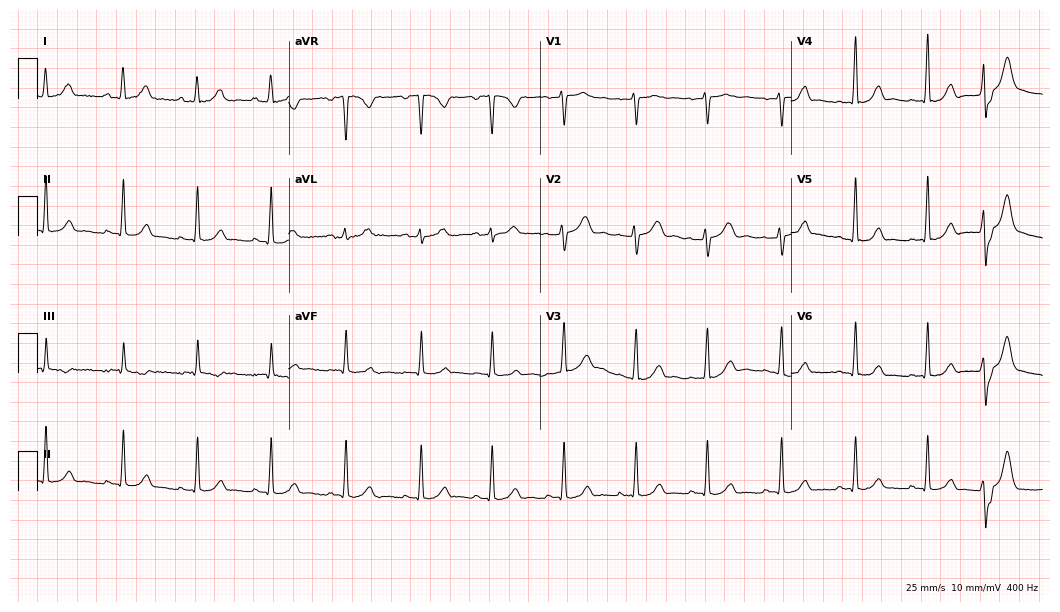
ECG (10.2-second recording at 400 Hz) — a 23-year-old female. Screened for six findings — first-degree AV block, right bundle branch block (RBBB), left bundle branch block (LBBB), sinus bradycardia, atrial fibrillation (AF), sinus tachycardia — none is recorded.